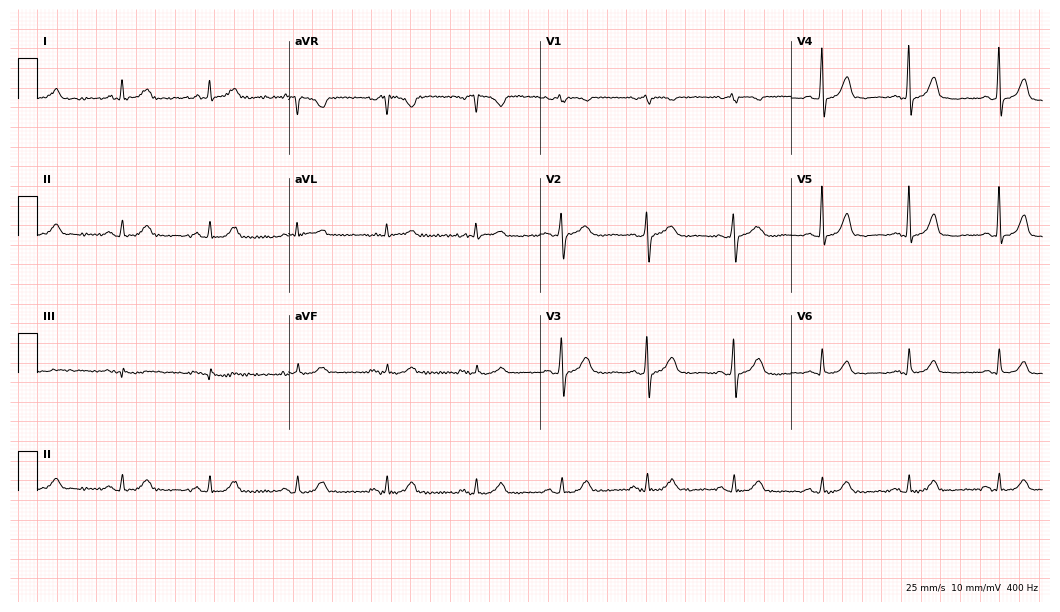
Resting 12-lead electrocardiogram (10.2-second recording at 400 Hz). Patient: a woman, 80 years old. Read as a normal ECG.